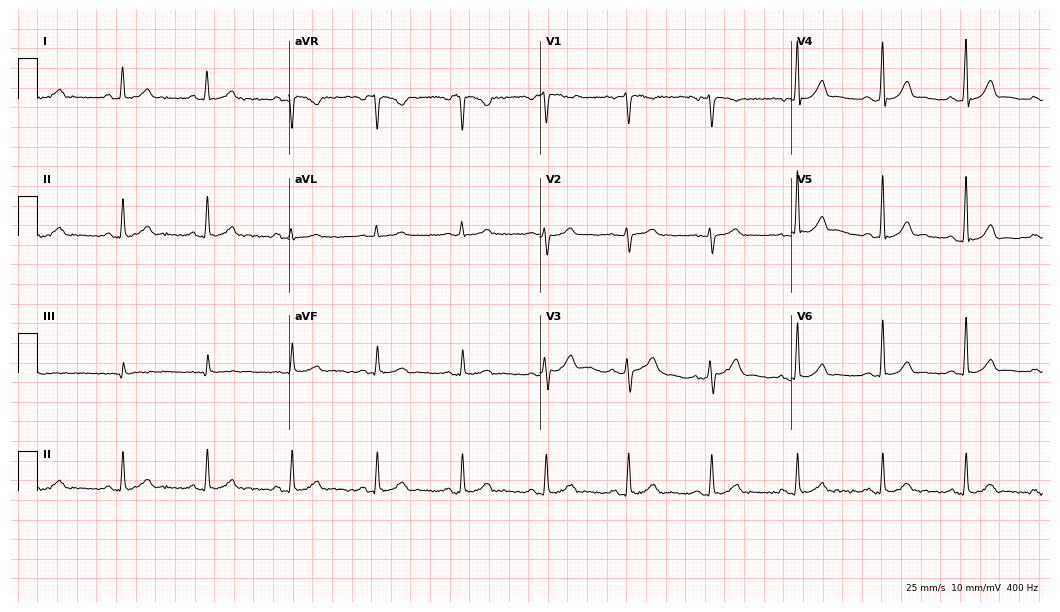
ECG — a 47-year-old female. Labelled as a normal ECG.